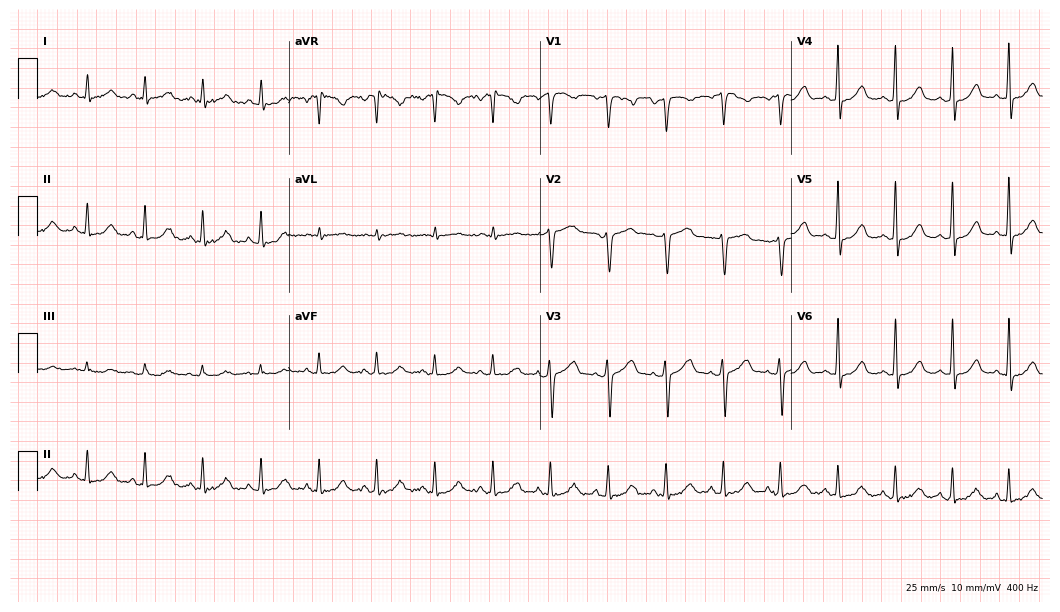
Standard 12-lead ECG recorded from a female patient, 53 years old (10.2-second recording at 400 Hz). The tracing shows sinus tachycardia (a sinus rate of 100 beats per minute or more).